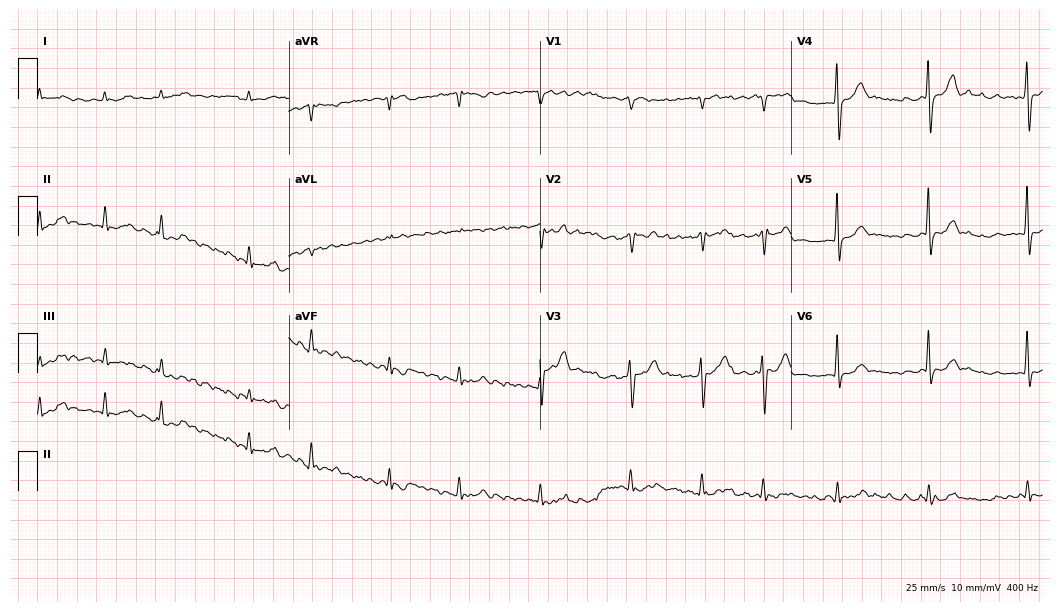
ECG — a male, 73 years old. Screened for six findings — first-degree AV block, right bundle branch block (RBBB), left bundle branch block (LBBB), sinus bradycardia, atrial fibrillation (AF), sinus tachycardia — none is recorded.